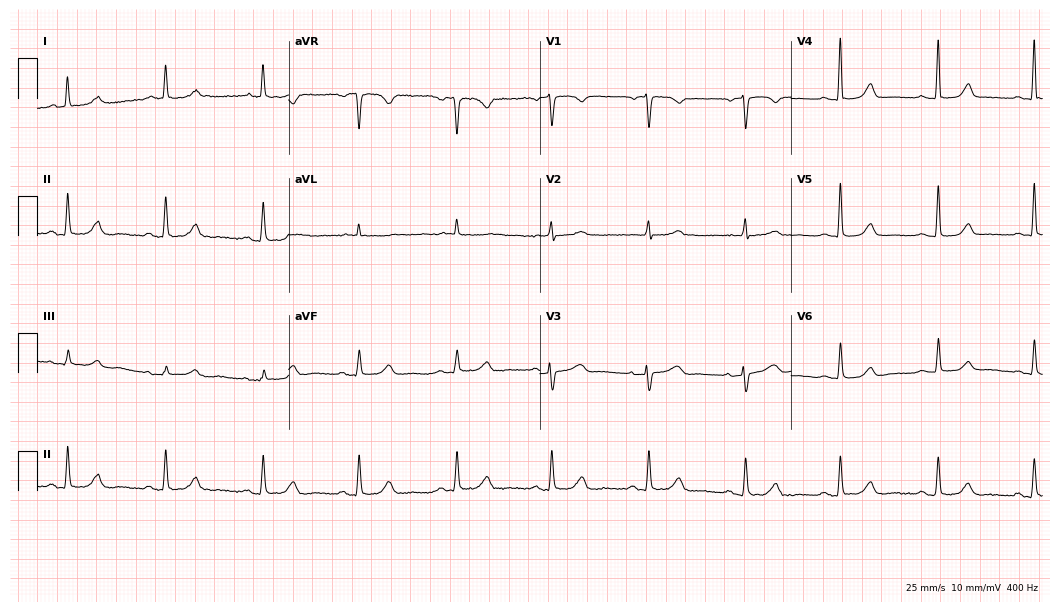
Resting 12-lead electrocardiogram (10.2-second recording at 400 Hz). Patient: a female, 85 years old. None of these six findings is recorded: first-degree AV block, right bundle branch block, left bundle branch block, sinus bradycardia, atrial fibrillation, sinus tachycardia. Other findings, if any, are not listed.